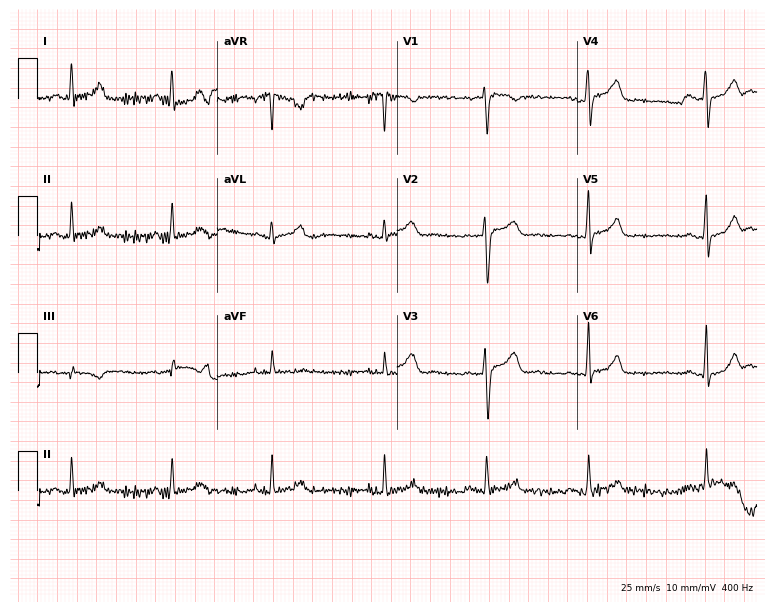
Standard 12-lead ECG recorded from a male, 32 years old (7.3-second recording at 400 Hz). Read as a normal ECG.